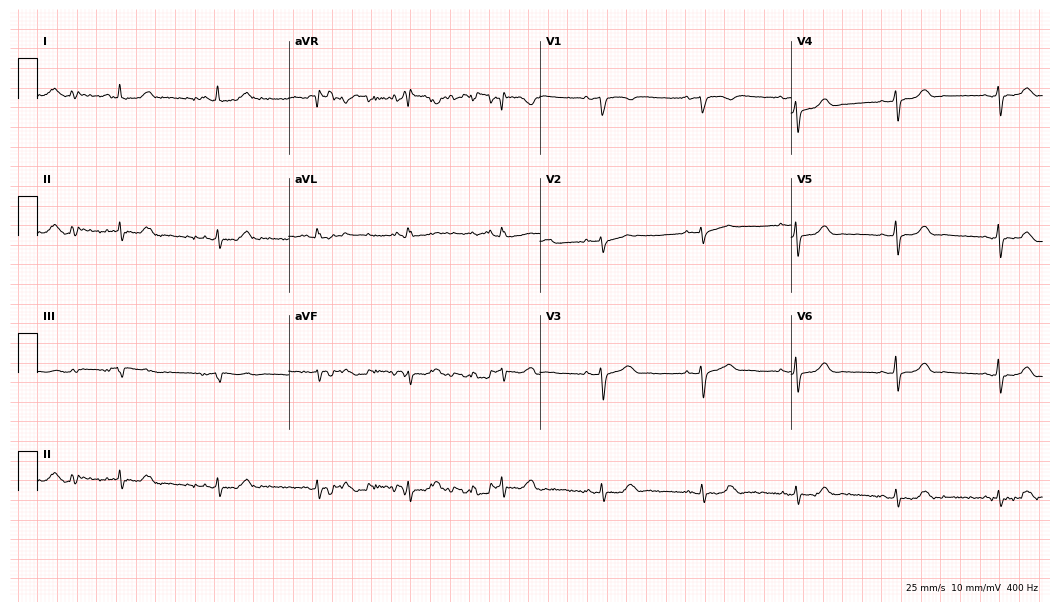
Electrocardiogram, a 36-year-old female patient. Of the six screened findings (first-degree AV block, right bundle branch block, left bundle branch block, sinus bradycardia, atrial fibrillation, sinus tachycardia), none is recorded.